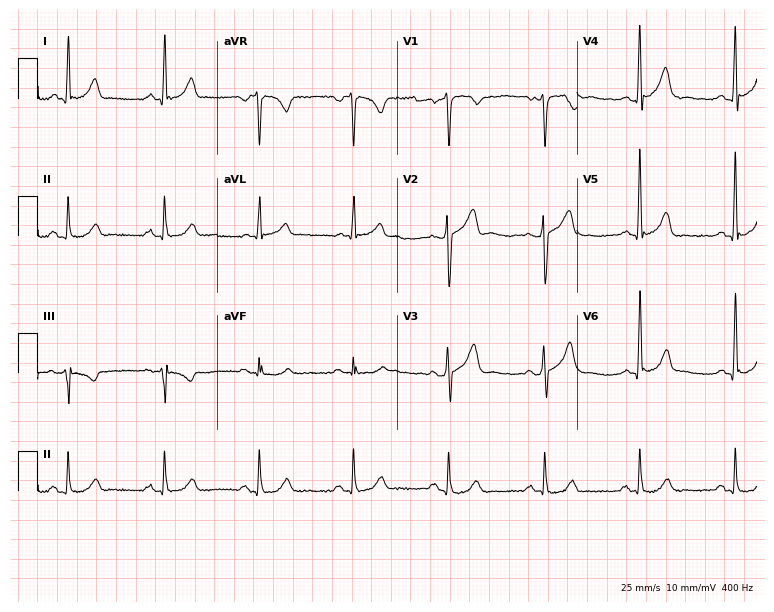
Resting 12-lead electrocardiogram. Patient: a 40-year-old man. None of these six findings is recorded: first-degree AV block, right bundle branch block, left bundle branch block, sinus bradycardia, atrial fibrillation, sinus tachycardia. Other findings, if any, are not listed.